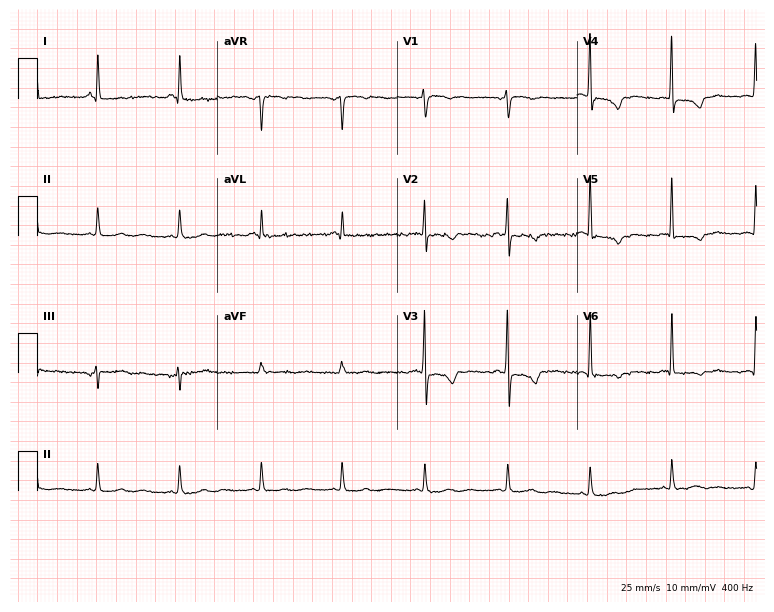
12-lead ECG (7.3-second recording at 400 Hz) from a female patient, 52 years old. Labelled as a normal ECG.